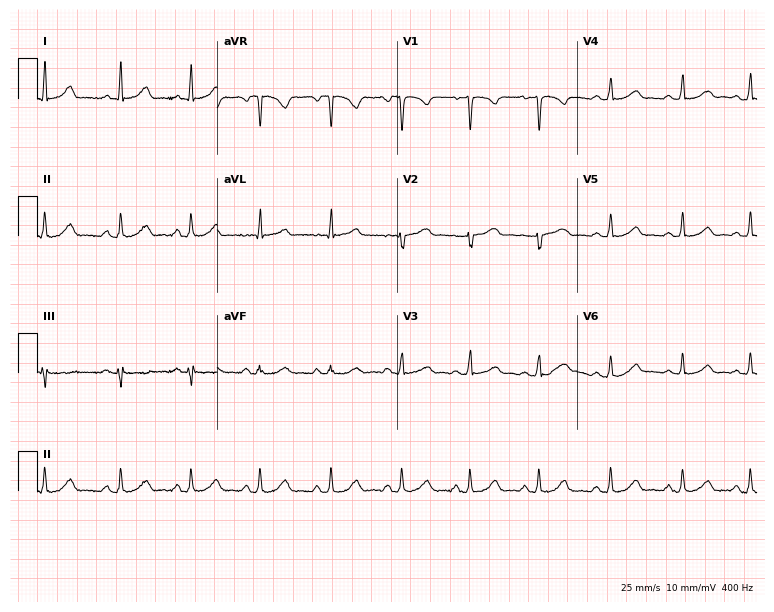
Electrocardiogram, a 21-year-old woman. Overall reading on record: normal ECG.